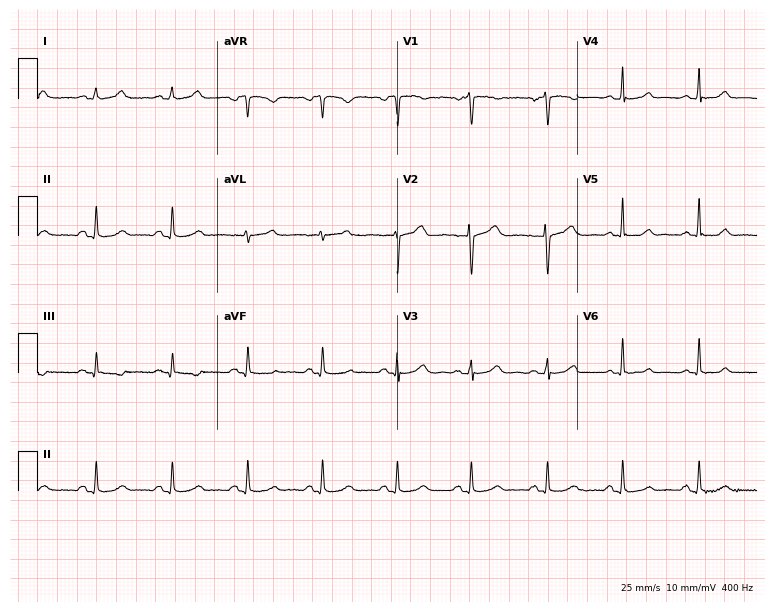
Resting 12-lead electrocardiogram (7.3-second recording at 400 Hz). Patient: a 45-year-old woman. Read as a normal ECG.